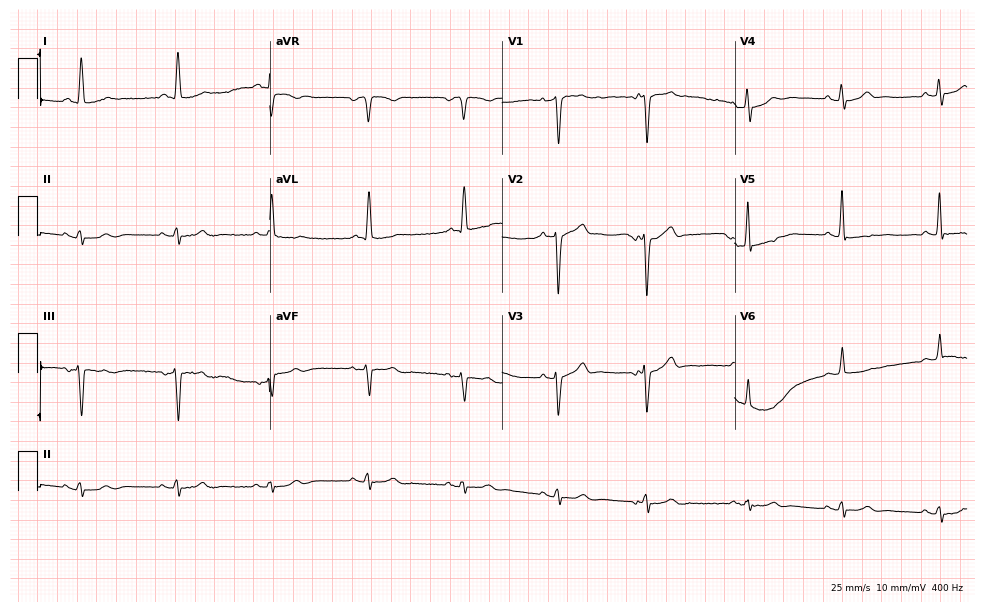
Resting 12-lead electrocardiogram (9.5-second recording at 400 Hz). Patient: an 81-year-old man. None of these six findings is recorded: first-degree AV block, right bundle branch block, left bundle branch block, sinus bradycardia, atrial fibrillation, sinus tachycardia.